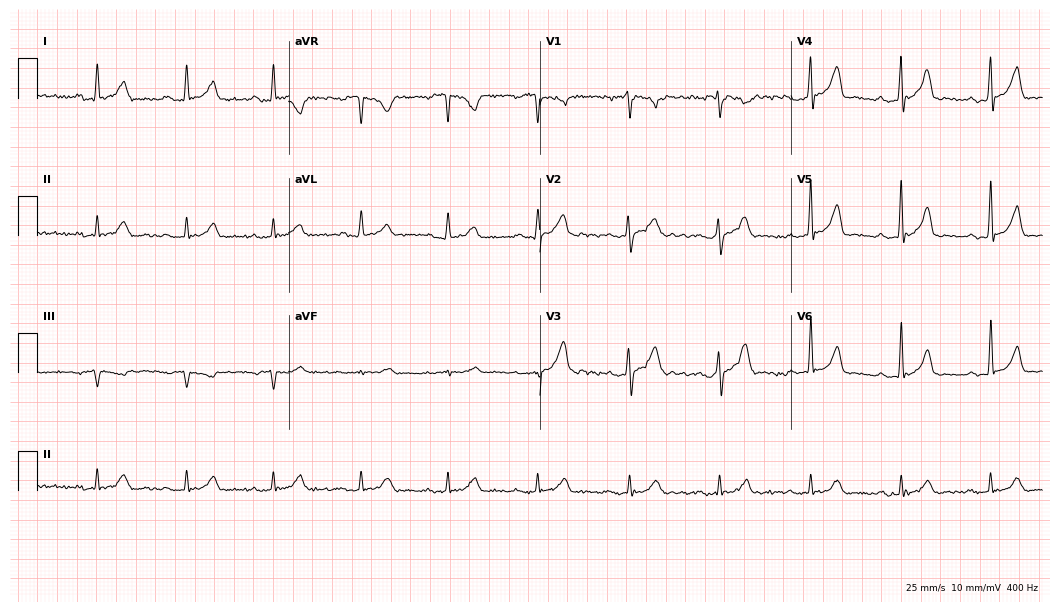
ECG — a 41-year-old male patient. Labelled as a normal ECG.